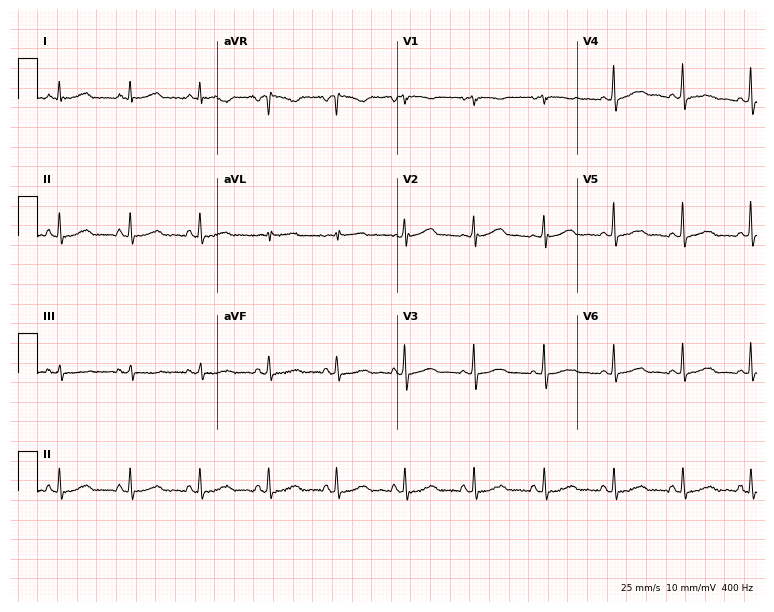
Standard 12-lead ECG recorded from a 55-year-old woman. None of these six findings is recorded: first-degree AV block, right bundle branch block (RBBB), left bundle branch block (LBBB), sinus bradycardia, atrial fibrillation (AF), sinus tachycardia.